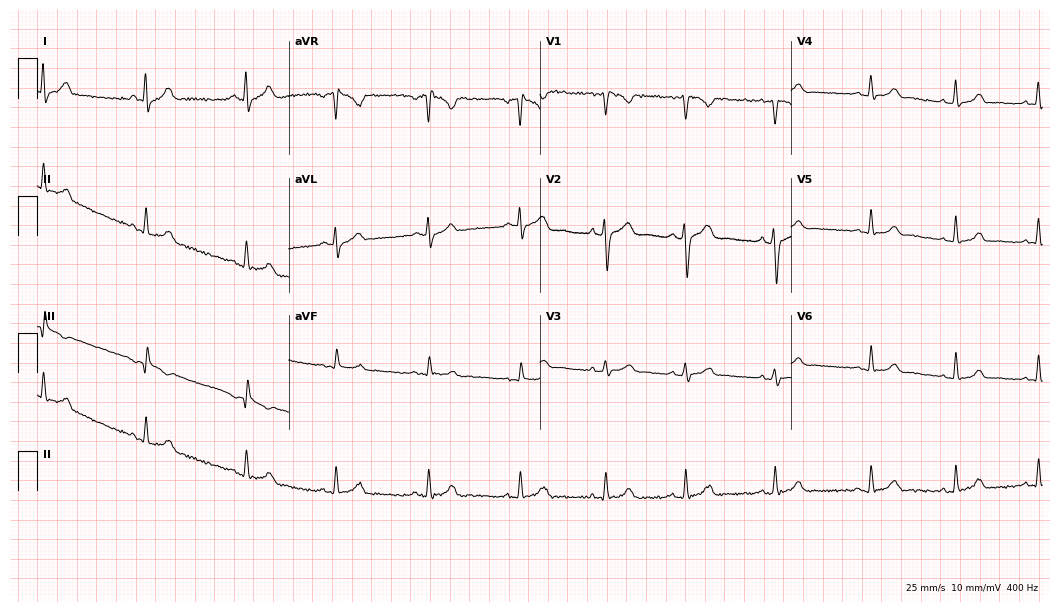
12-lead ECG from a female, 29 years old. Labelled as a normal ECG.